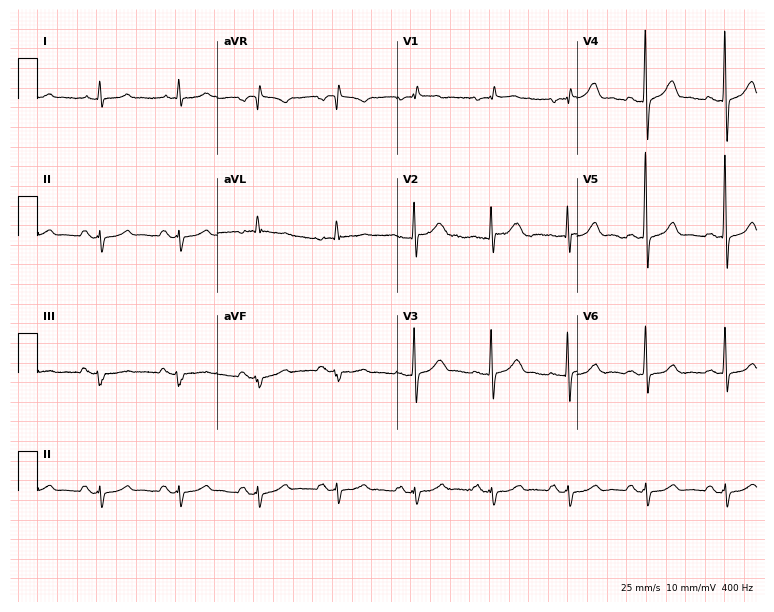
ECG — a man, 60 years old. Screened for six findings — first-degree AV block, right bundle branch block, left bundle branch block, sinus bradycardia, atrial fibrillation, sinus tachycardia — none is recorded.